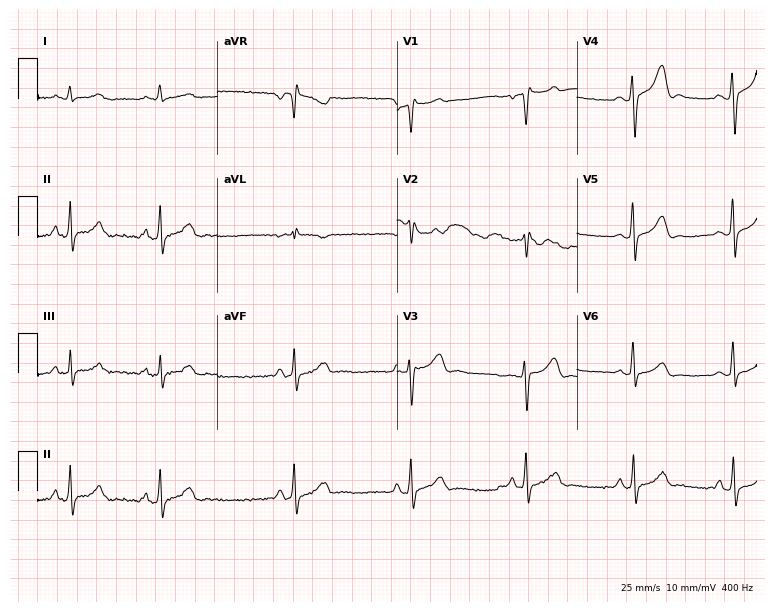
Standard 12-lead ECG recorded from a male patient, 47 years old (7.3-second recording at 400 Hz). None of these six findings is recorded: first-degree AV block, right bundle branch block, left bundle branch block, sinus bradycardia, atrial fibrillation, sinus tachycardia. Findings outside these six are not listed.